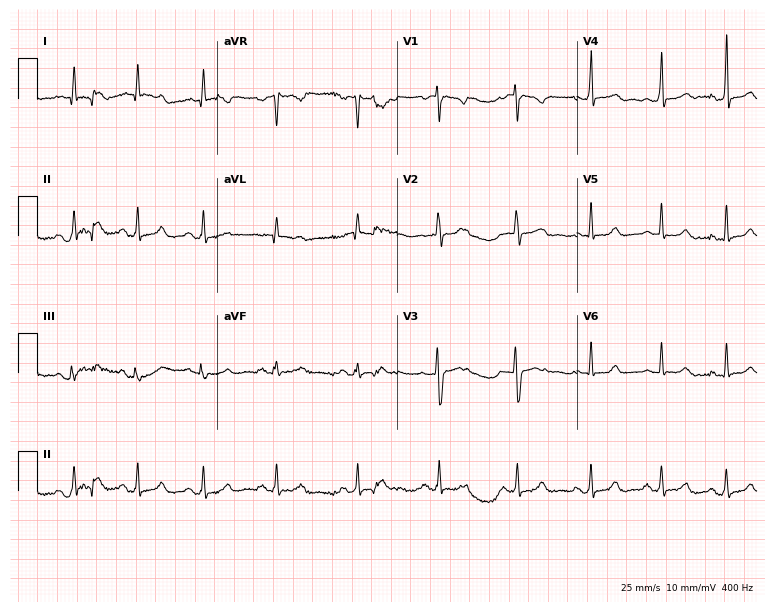
Electrocardiogram, a 24-year-old female patient. Of the six screened findings (first-degree AV block, right bundle branch block (RBBB), left bundle branch block (LBBB), sinus bradycardia, atrial fibrillation (AF), sinus tachycardia), none is recorded.